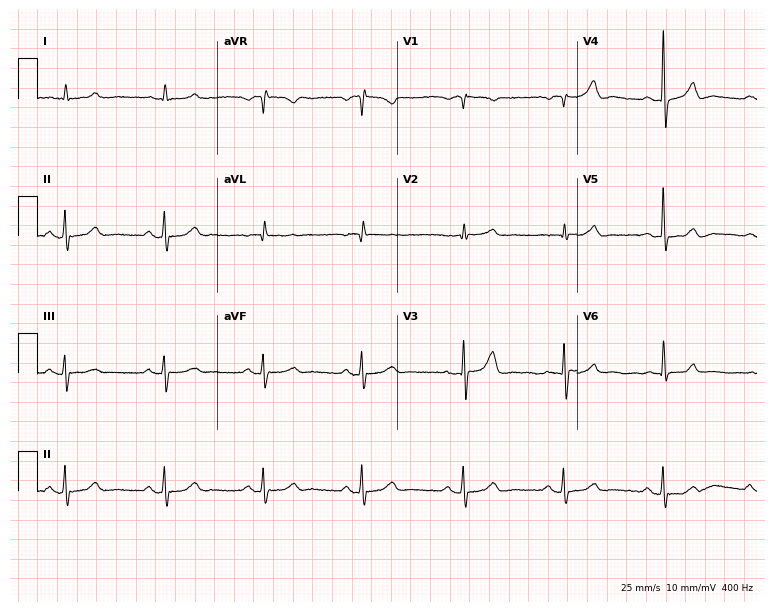
12-lead ECG from an 80-year-old male. Recorded interpretation: within normal limits.